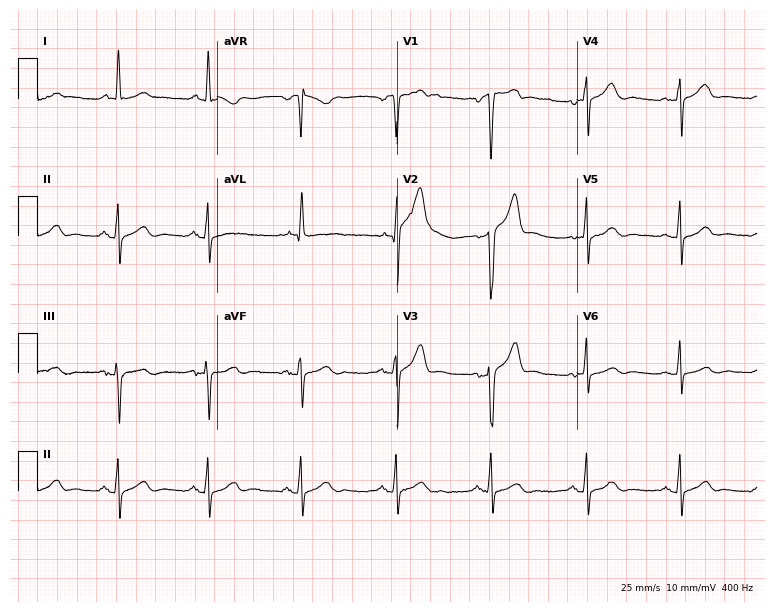
12-lead ECG from a man, 63 years old (7.3-second recording at 400 Hz). Recorded interpretation: within normal limits.